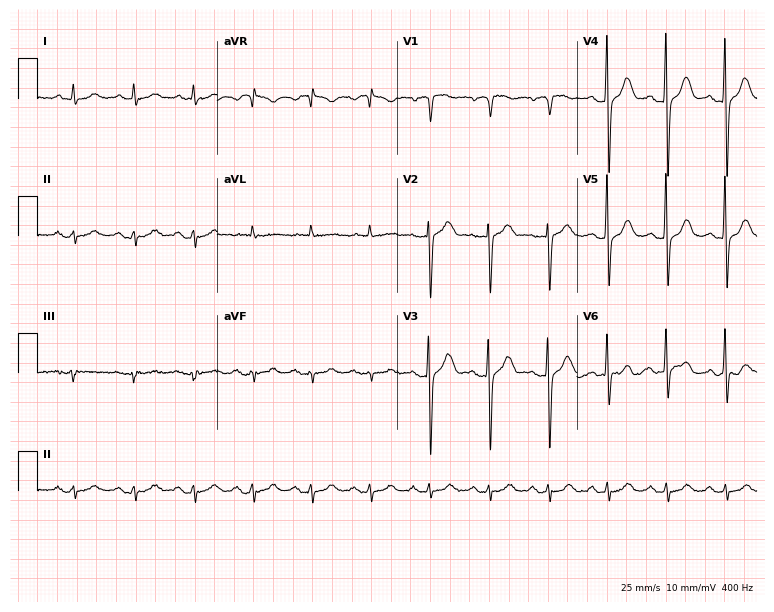
Electrocardiogram (7.3-second recording at 400 Hz), a 75-year-old male patient. Overall reading on record: normal ECG.